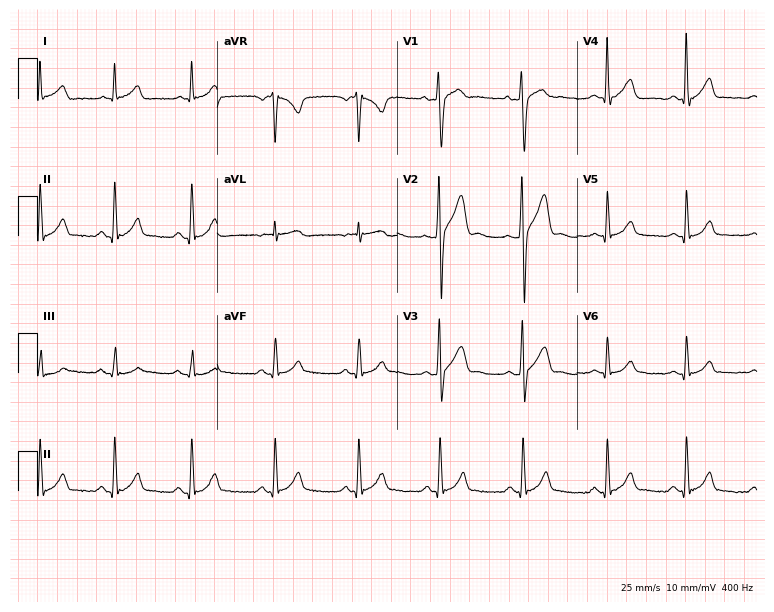
12-lead ECG (7.3-second recording at 400 Hz) from a 31-year-old man. Labelled as a normal ECG.